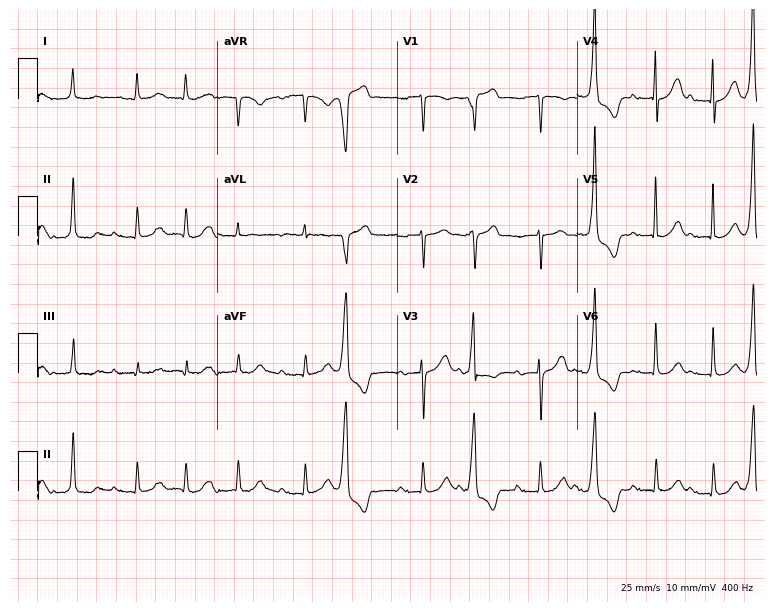
ECG — a woman, 84 years old. Findings include first-degree AV block.